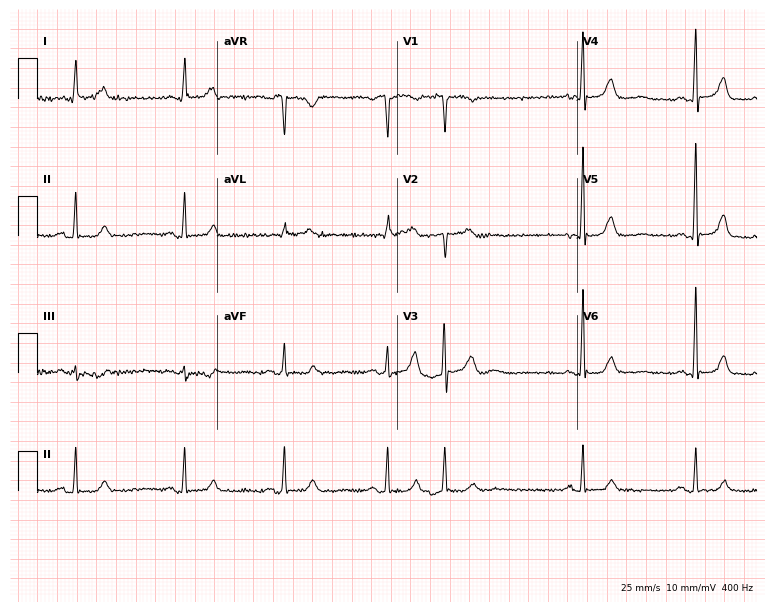
ECG — a 69-year-old female patient. Screened for six findings — first-degree AV block, right bundle branch block (RBBB), left bundle branch block (LBBB), sinus bradycardia, atrial fibrillation (AF), sinus tachycardia — none is recorded. Findings outside these six are not listed.